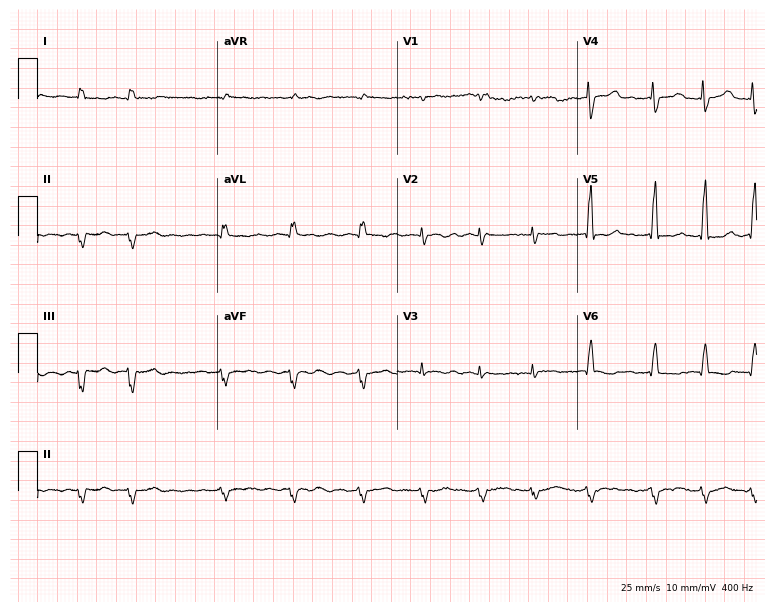
12-lead ECG from a female, 76 years old. Shows atrial fibrillation.